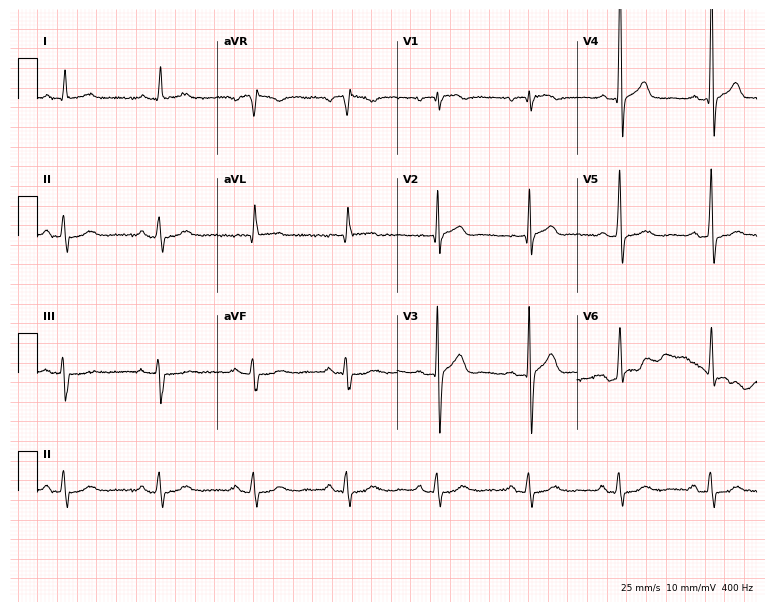
Electrocardiogram (7.3-second recording at 400 Hz), a male, 75 years old. Of the six screened findings (first-degree AV block, right bundle branch block, left bundle branch block, sinus bradycardia, atrial fibrillation, sinus tachycardia), none is recorded. Other findings, if any, are not listed.